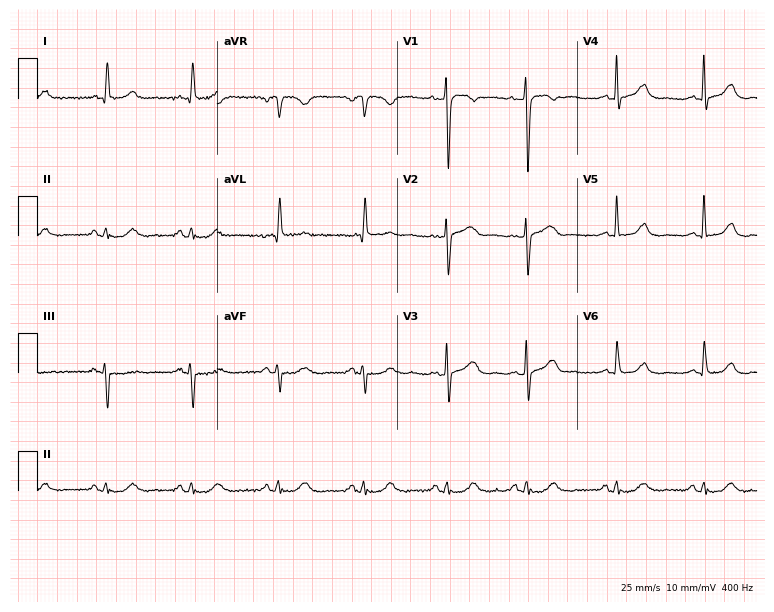
Standard 12-lead ECG recorded from an 84-year-old female (7.3-second recording at 400 Hz). None of these six findings is recorded: first-degree AV block, right bundle branch block, left bundle branch block, sinus bradycardia, atrial fibrillation, sinus tachycardia.